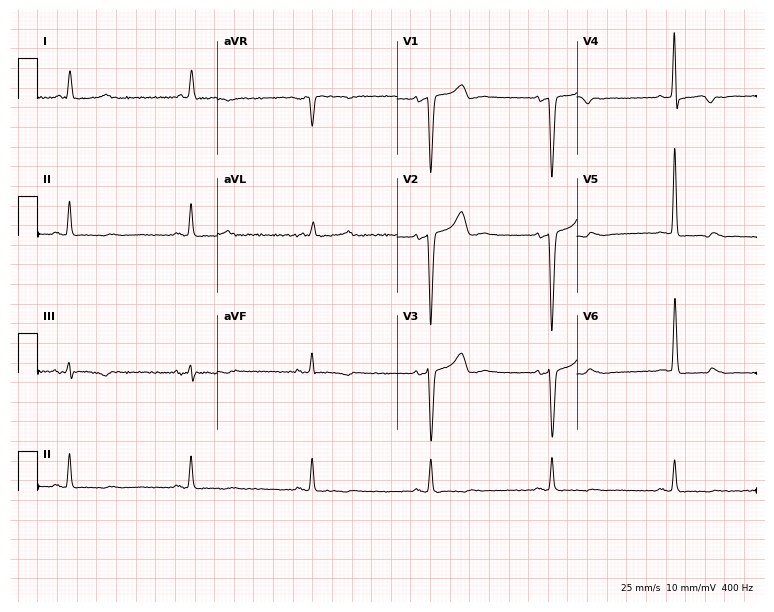
Electrocardiogram, a 67-year-old male patient. Of the six screened findings (first-degree AV block, right bundle branch block, left bundle branch block, sinus bradycardia, atrial fibrillation, sinus tachycardia), none is recorded.